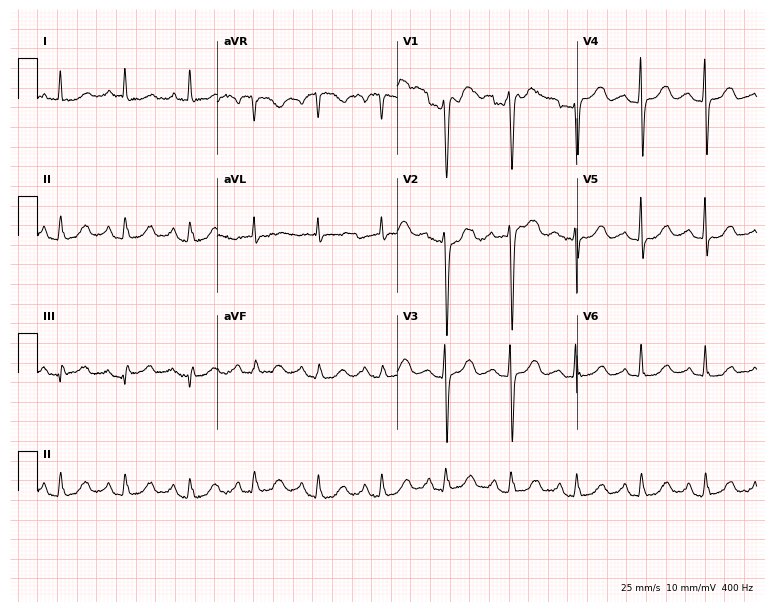
Resting 12-lead electrocardiogram (7.3-second recording at 400 Hz). Patient: a 47-year-old woman. None of these six findings is recorded: first-degree AV block, right bundle branch block, left bundle branch block, sinus bradycardia, atrial fibrillation, sinus tachycardia.